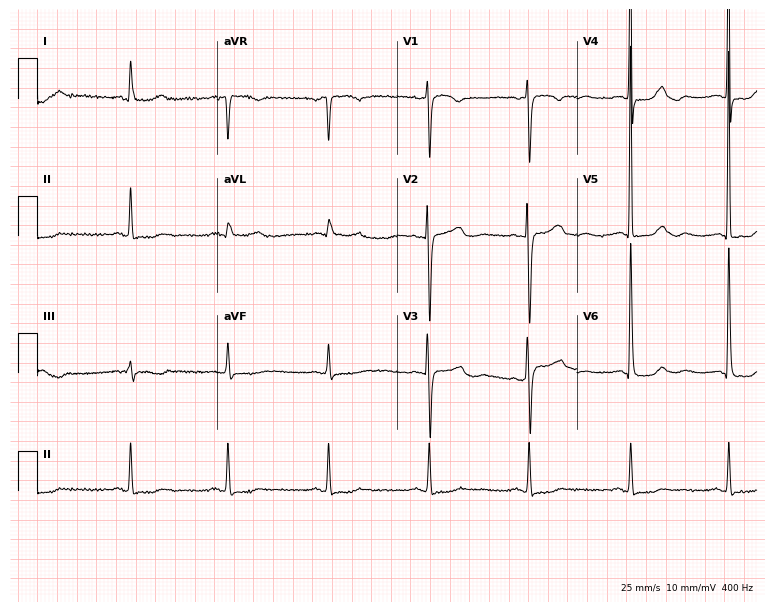
Electrocardiogram, a 65-year-old female patient. Of the six screened findings (first-degree AV block, right bundle branch block, left bundle branch block, sinus bradycardia, atrial fibrillation, sinus tachycardia), none is recorded.